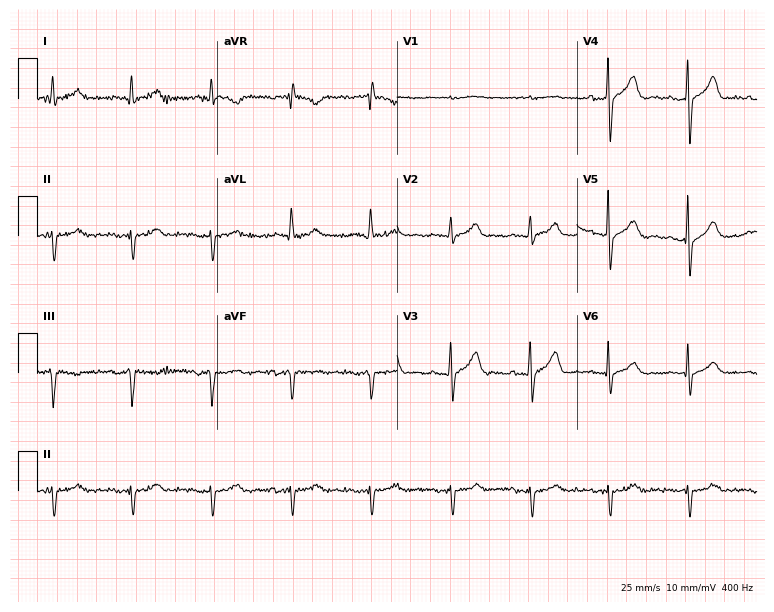
12-lead ECG (7.3-second recording at 400 Hz) from a male patient, 69 years old. Screened for six findings — first-degree AV block, right bundle branch block, left bundle branch block, sinus bradycardia, atrial fibrillation, sinus tachycardia — none is recorded. Only these six findings were labelled.